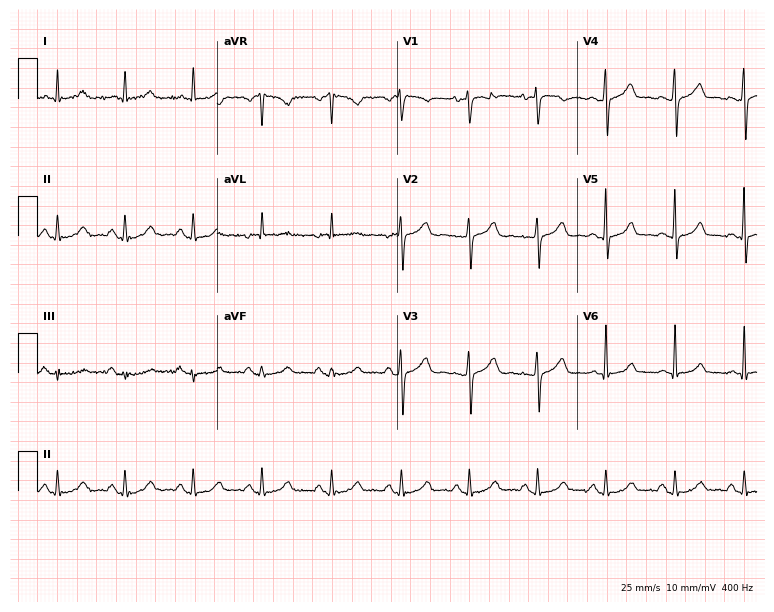
Electrocardiogram, a 61-year-old woman. Overall reading on record: normal ECG.